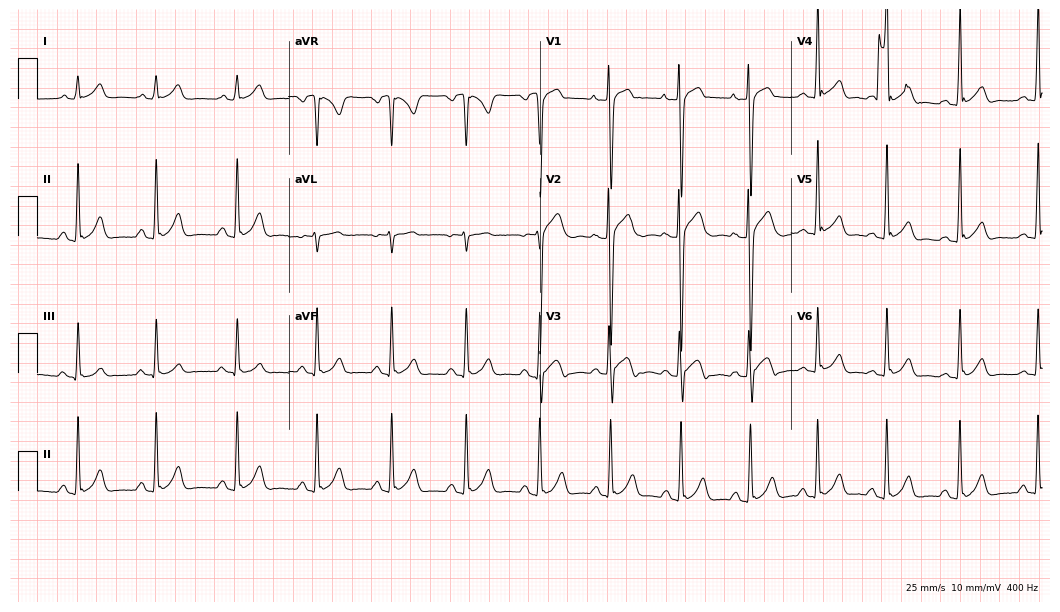
12-lead ECG from a 17-year-old man. Recorded interpretation: within normal limits.